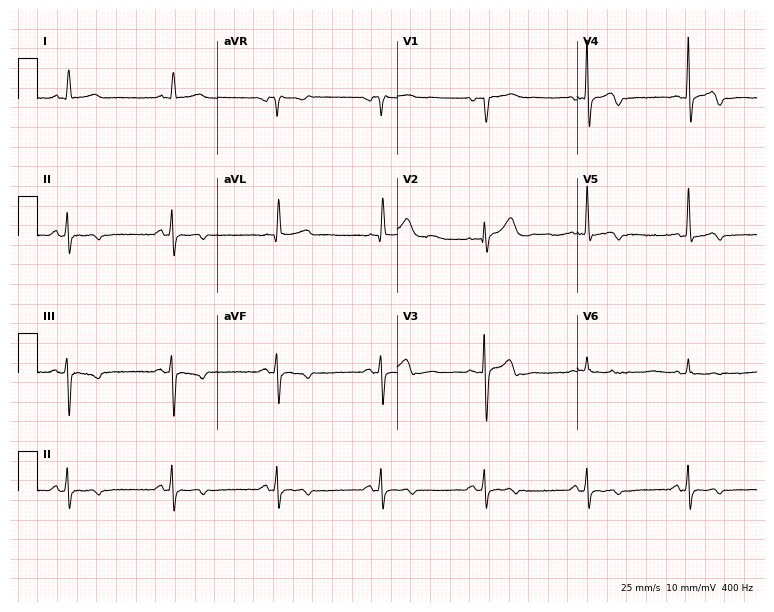
Standard 12-lead ECG recorded from a woman, 82 years old. None of these six findings is recorded: first-degree AV block, right bundle branch block (RBBB), left bundle branch block (LBBB), sinus bradycardia, atrial fibrillation (AF), sinus tachycardia.